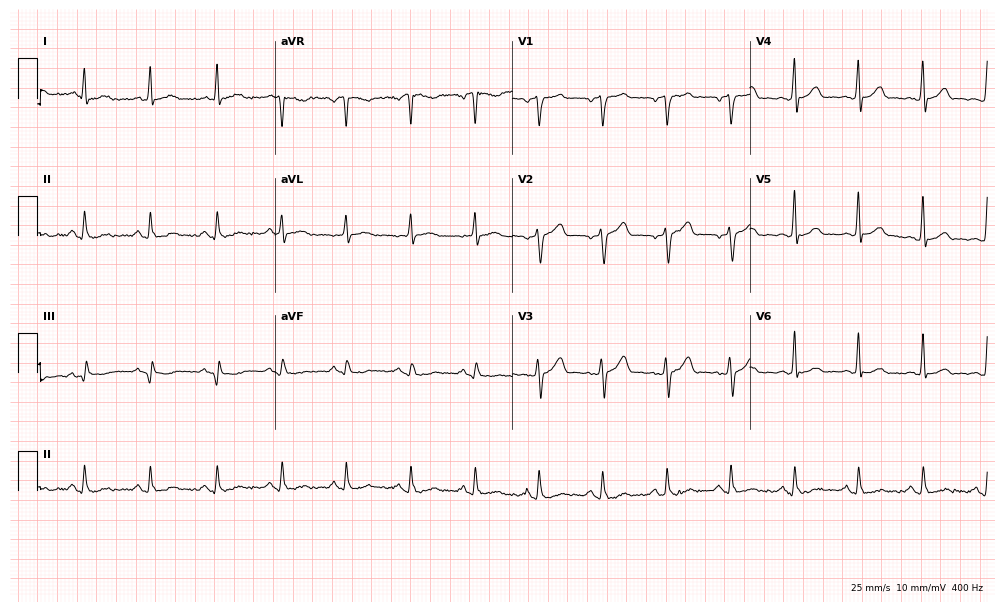
ECG (9.7-second recording at 400 Hz) — a 49-year-old man. Labelled as a normal ECG.